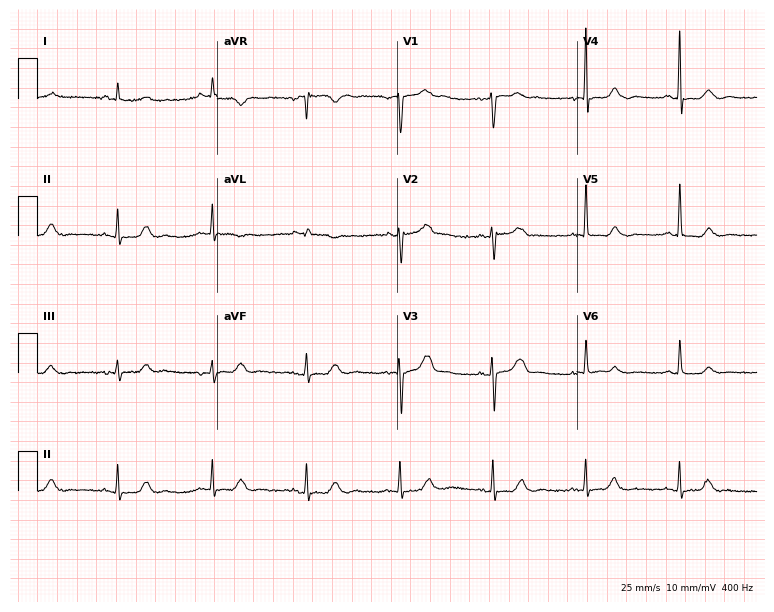
Standard 12-lead ECG recorded from an 81-year-old woman. Read as a normal ECG.